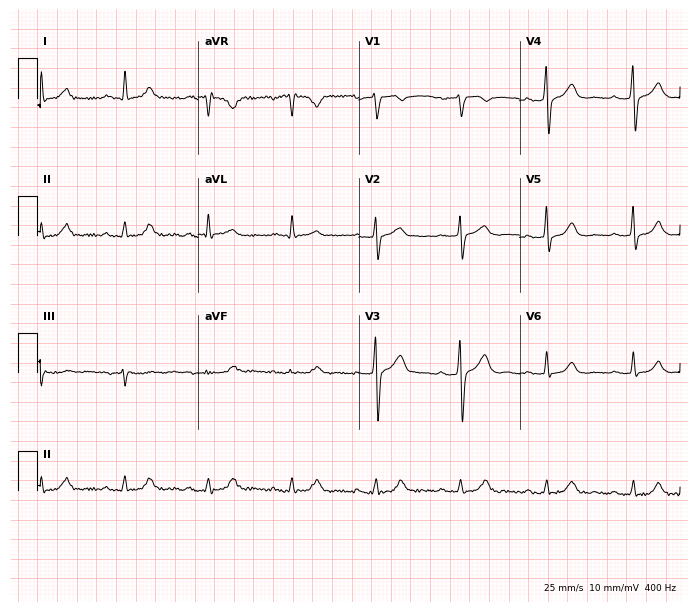
Standard 12-lead ECG recorded from a male patient, 61 years old. None of these six findings is recorded: first-degree AV block, right bundle branch block, left bundle branch block, sinus bradycardia, atrial fibrillation, sinus tachycardia.